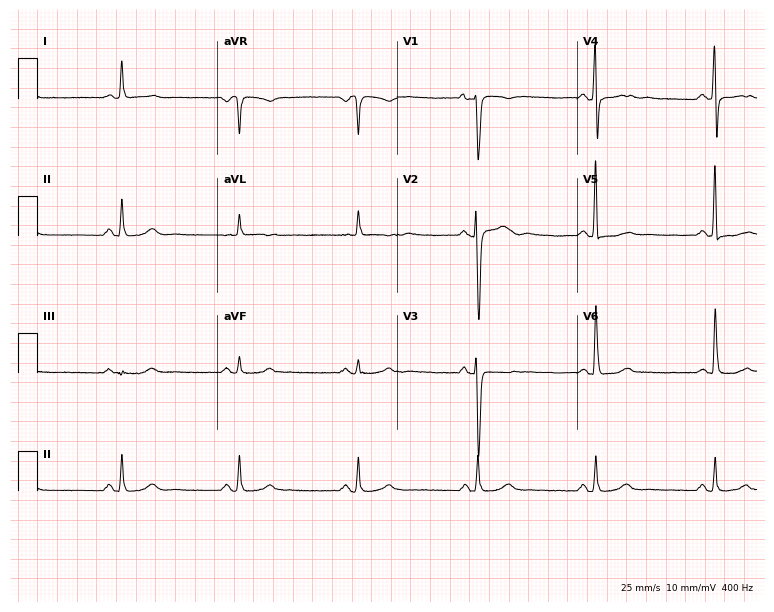
12-lead ECG (7.3-second recording at 400 Hz) from a 62-year-old man. Screened for six findings — first-degree AV block, right bundle branch block, left bundle branch block, sinus bradycardia, atrial fibrillation, sinus tachycardia — none is recorded.